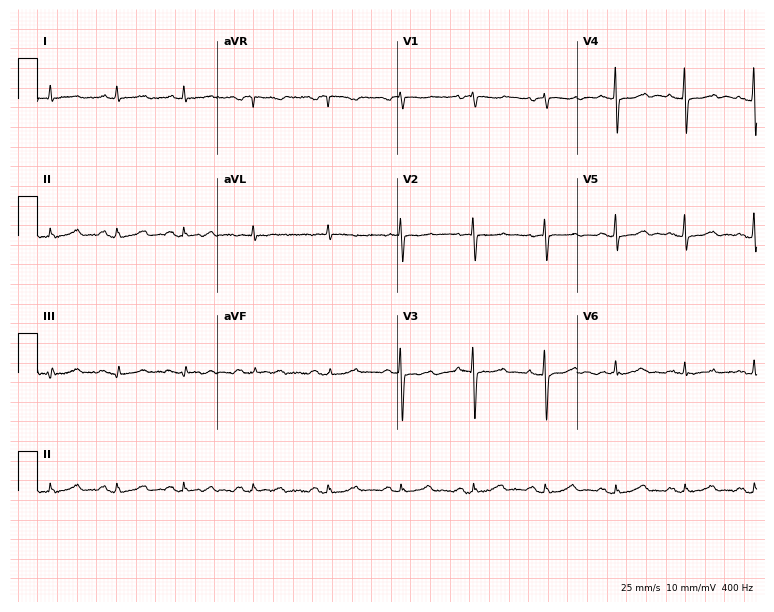
Electrocardiogram (7.3-second recording at 400 Hz), an 82-year-old woman. Overall reading on record: normal ECG.